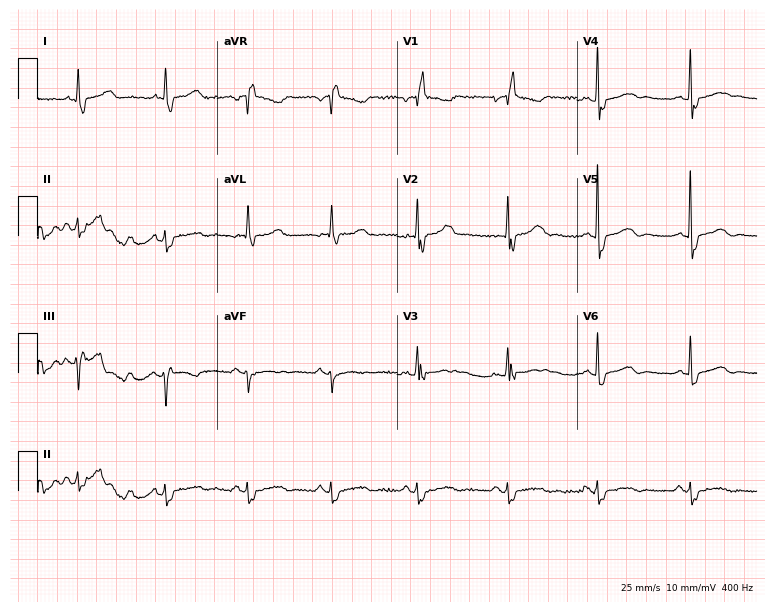
12-lead ECG from a woman, 77 years old (7.3-second recording at 400 Hz). No first-degree AV block, right bundle branch block, left bundle branch block, sinus bradycardia, atrial fibrillation or sinus tachycardia recorded for this tracing.